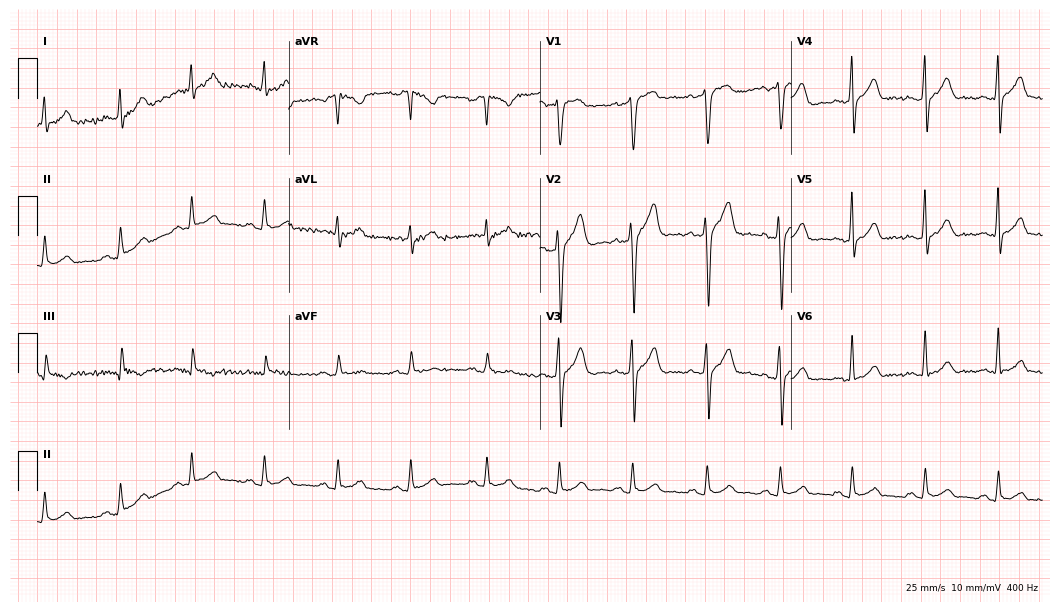
Standard 12-lead ECG recorded from a male patient, 31 years old (10.2-second recording at 400 Hz). Read as a normal ECG.